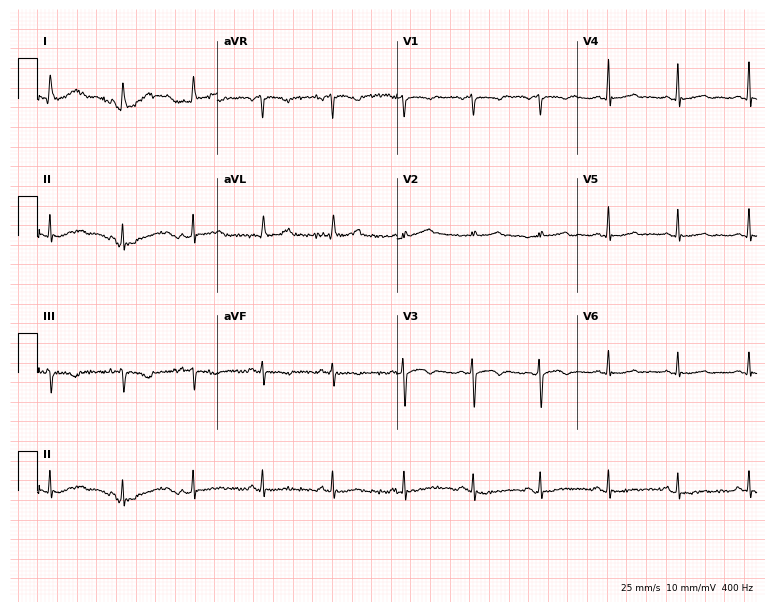
Electrocardiogram (7.3-second recording at 400 Hz), a 50-year-old woman. Of the six screened findings (first-degree AV block, right bundle branch block, left bundle branch block, sinus bradycardia, atrial fibrillation, sinus tachycardia), none is recorded.